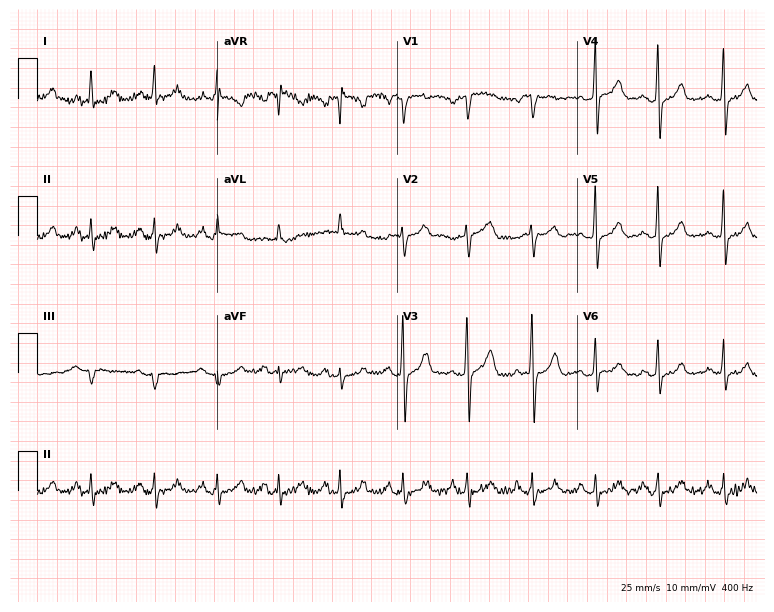
Standard 12-lead ECG recorded from a 50-year-old woman. None of these six findings is recorded: first-degree AV block, right bundle branch block, left bundle branch block, sinus bradycardia, atrial fibrillation, sinus tachycardia. Findings outside these six are not listed.